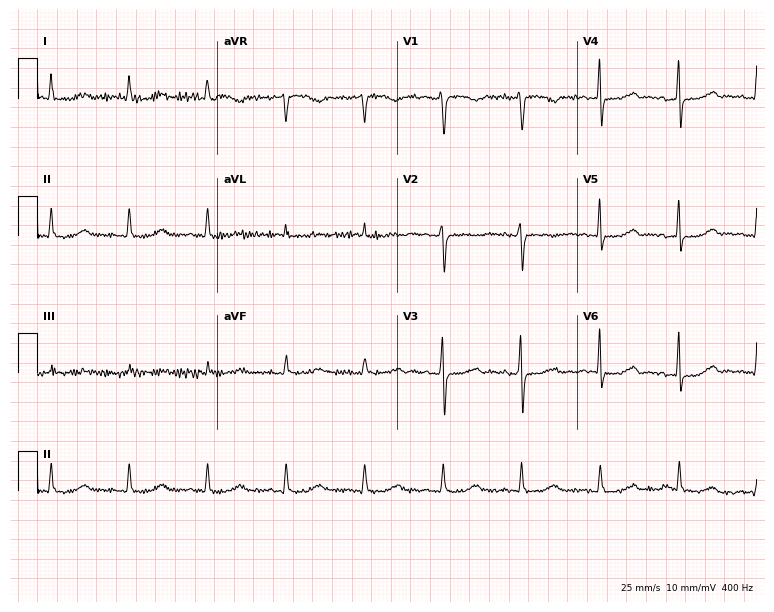
12-lead ECG from a 44-year-old female. Screened for six findings — first-degree AV block, right bundle branch block, left bundle branch block, sinus bradycardia, atrial fibrillation, sinus tachycardia — none is recorded. Other findings, if any, are not listed.